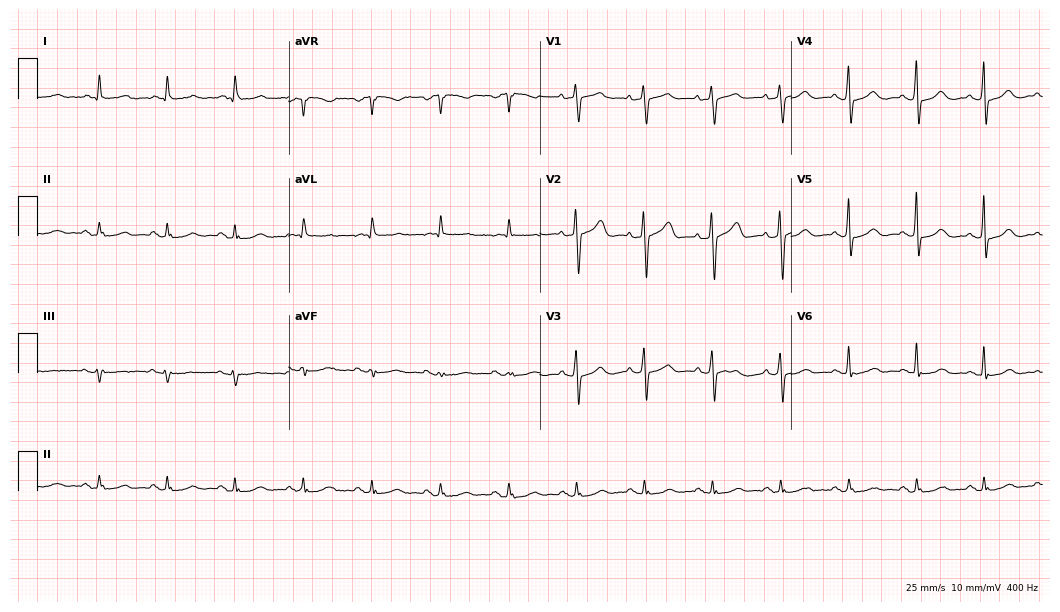
Resting 12-lead electrocardiogram (10.2-second recording at 400 Hz). Patient: an 81-year-old female. None of these six findings is recorded: first-degree AV block, right bundle branch block, left bundle branch block, sinus bradycardia, atrial fibrillation, sinus tachycardia.